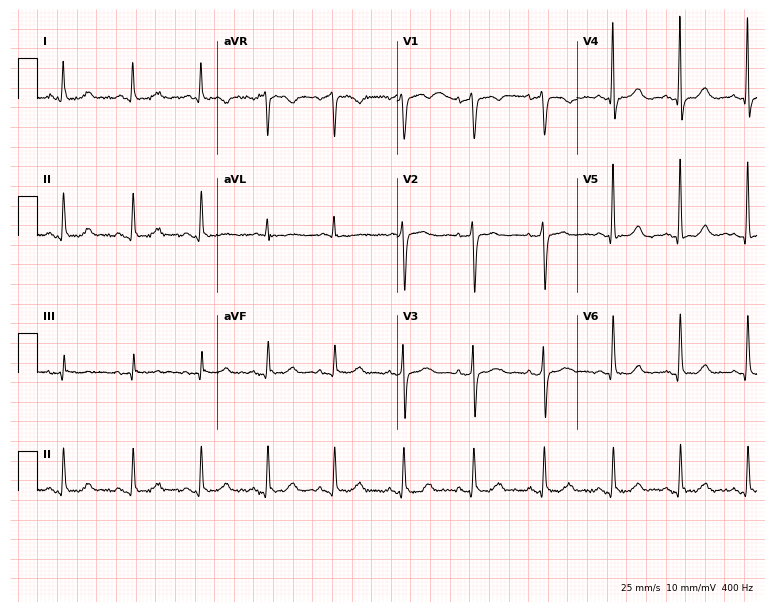
12-lead ECG from a man, 77 years old. No first-degree AV block, right bundle branch block, left bundle branch block, sinus bradycardia, atrial fibrillation or sinus tachycardia recorded for this tracing. Findings outside these six are not listed.